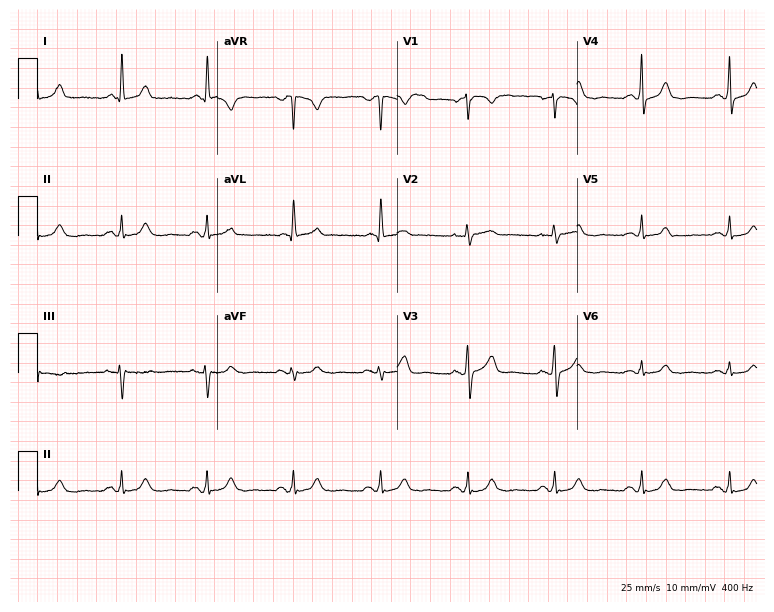
Electrocardiogram (7.3-second recording at 400 Hz), a 66-year-old female patient. Of the six screened findings (first-degree AV block, right bundle branch block, left bundle branch block, sinus bradycardia, atrial fibrillation, sinus tachycardia), none is recorded.